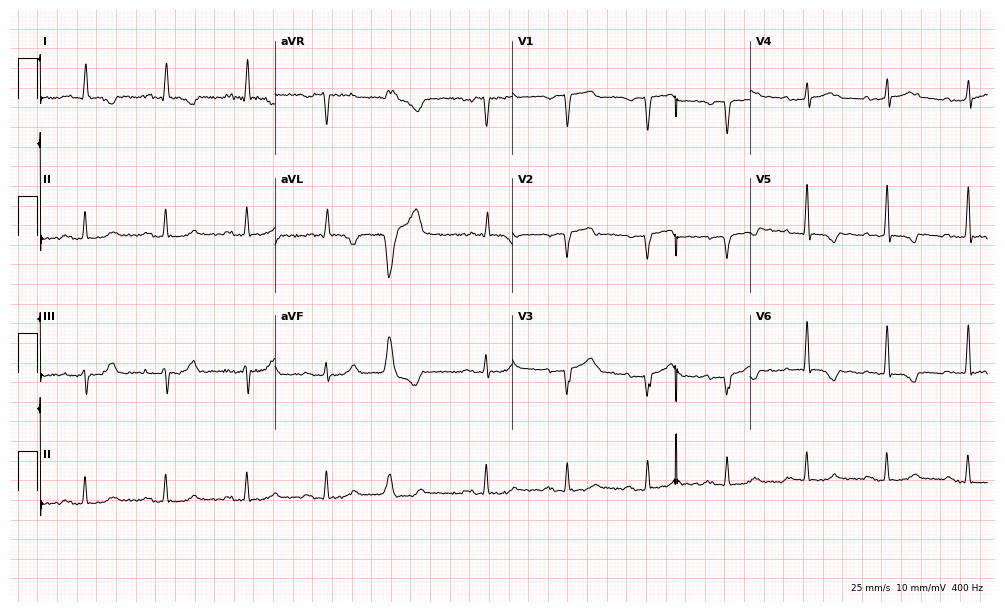
ECG (9.7-second recording at 400 Hz) — a 63-year-old male patient. Screened for six findings — first-degree AV block, right bundle branch block (RBBB), left bundle branch block (LBBB), sinus bradycardia, atrial fibrillation (AF), sinus tachycardia — none is recorded. Findings outside these six are not listed.